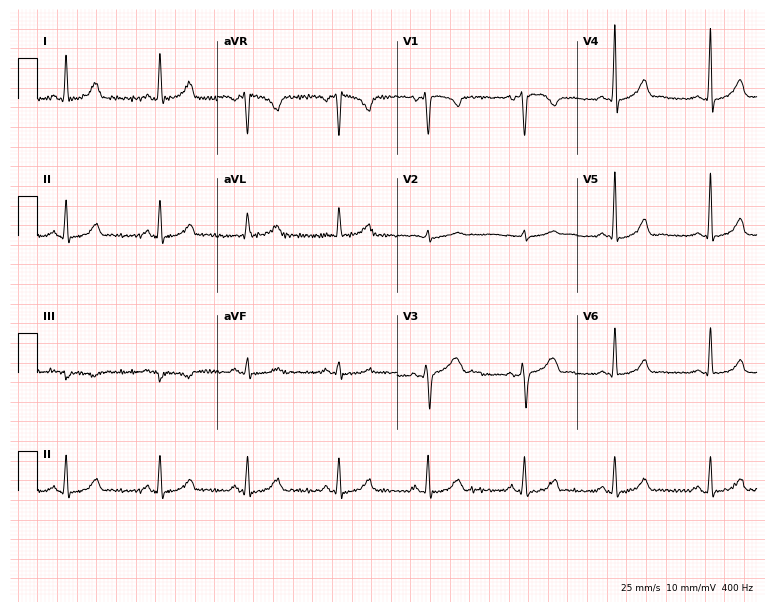
12-lead ECG from a 35-year-old woman (7.3-second recording at 400 Hz). Recorded interpretation: within normal limits.